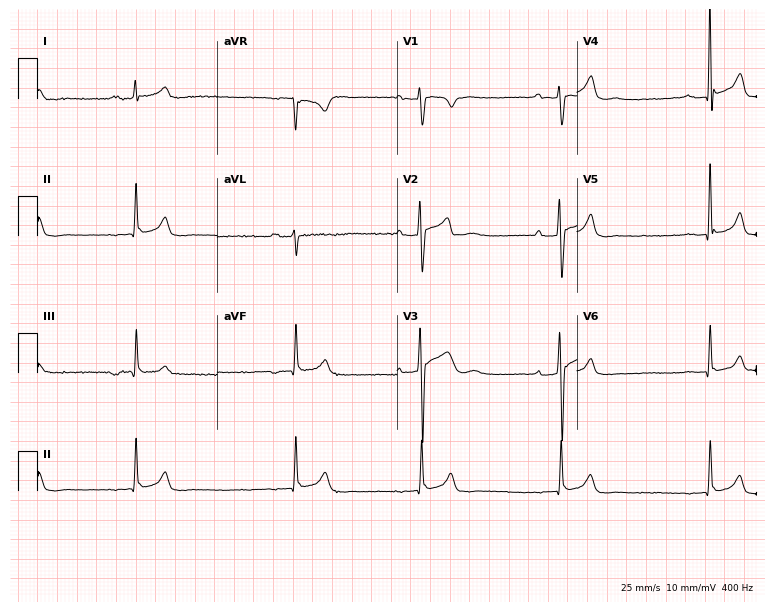
ECG — a 25-year-old man. Screened for six findings — first-degree AV block, right bundle branch block, left bundle branch block, sinus bradycardia, atrial fibrillation, sinus tachycardia — none is recorded.